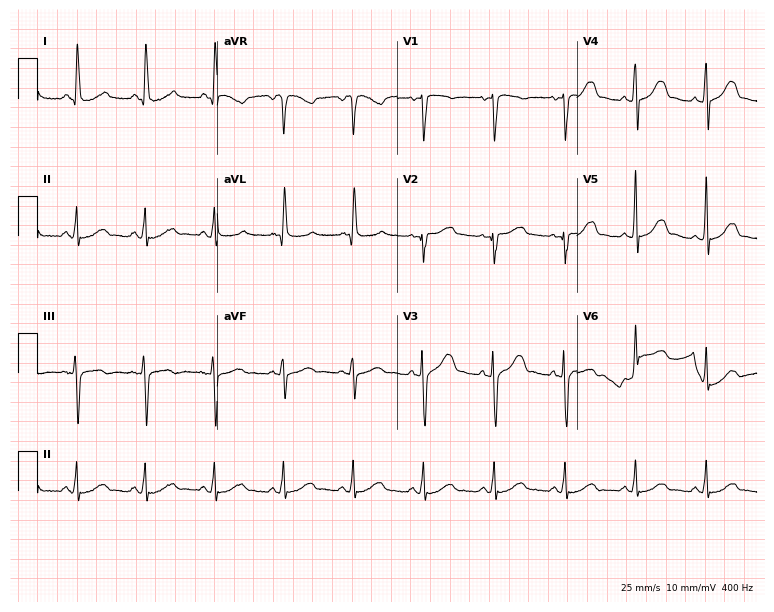
12-lead ECG (7.3-second recording at 400 Hz) from a 56-year-old woman. Screened for six findings — first-degree AV block, right bundle branch block, left bundle branch block, sinus bradycardia, atrial fibrillation, sinus tachycardia — none is recorded.